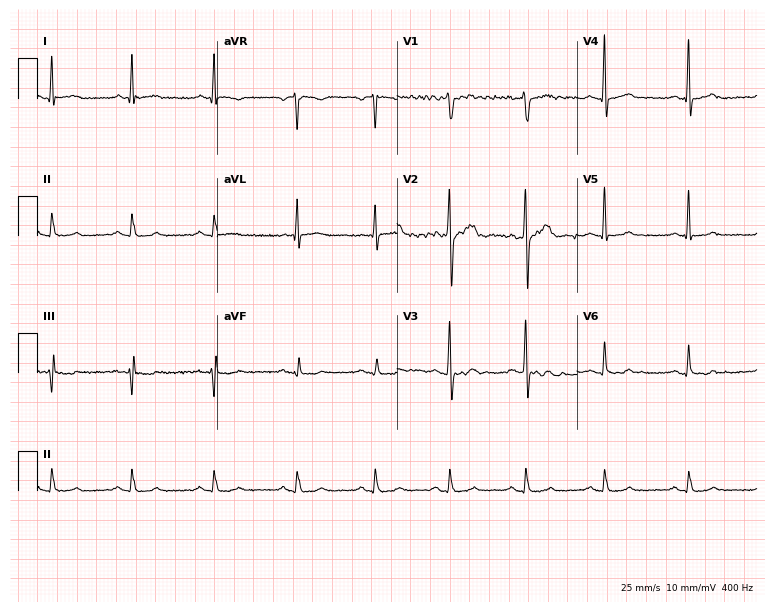
ECG — a 44-year-old man. Labelled as a normal ECG.